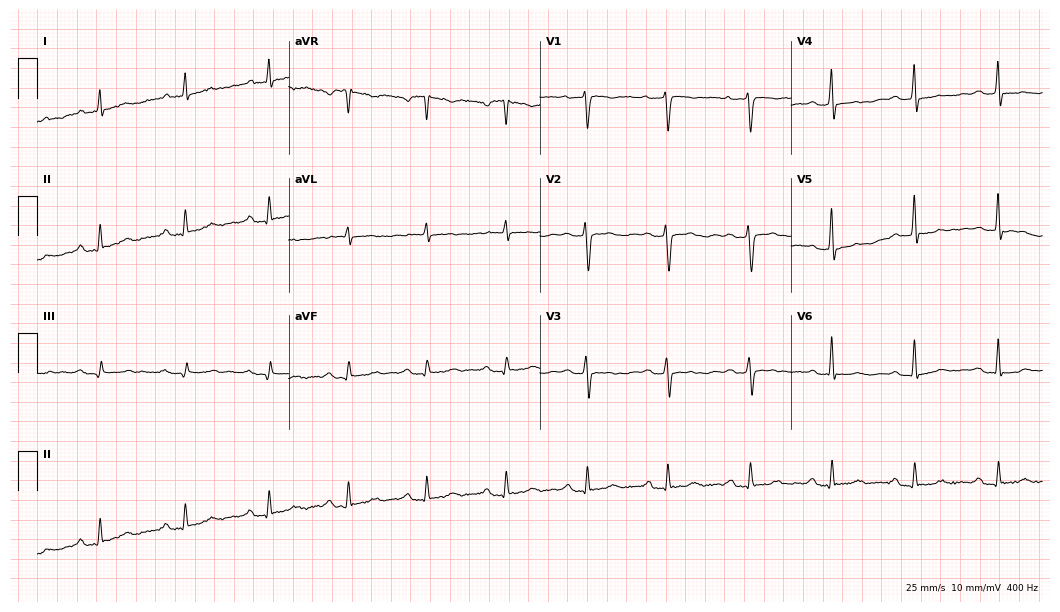
ECG — a 41-year-old female. Findings include first-degree AV block.